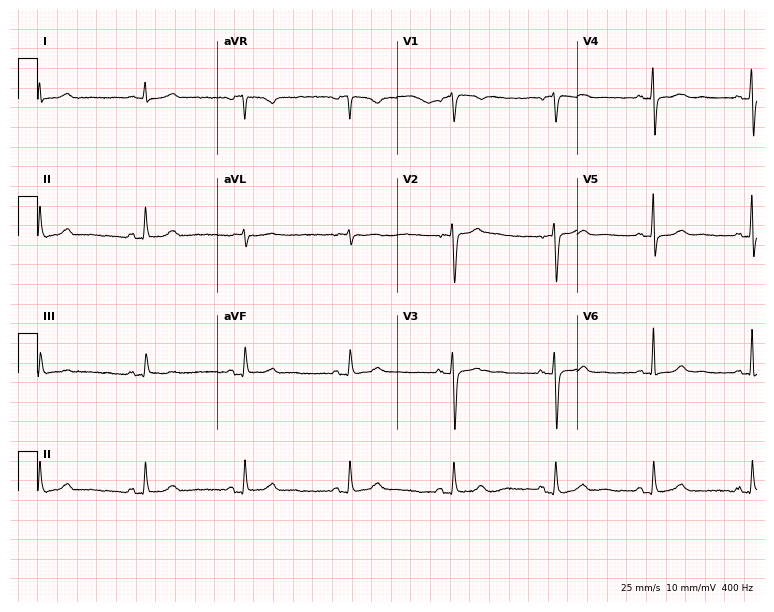
Electrocardiogram (7.3-second recording at 400 Hz), a 70-year-old female. Overall reading on record: normal ECG.